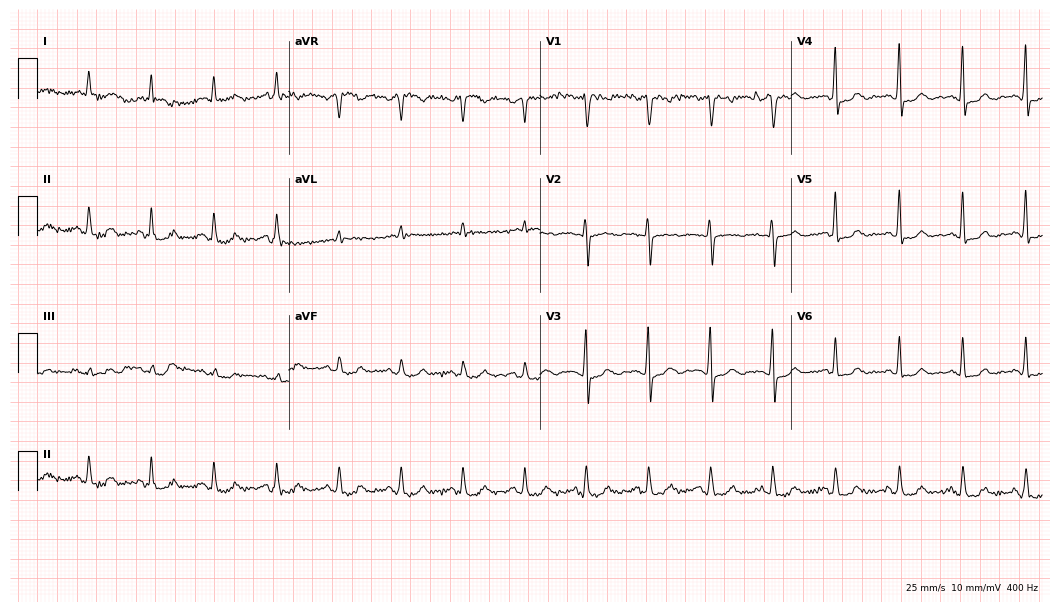
Electrocardiogram (10.2-second recording at 400 Hz), a woman, 75 years old. Of the six screened findings (first-degree AV block, right bundle branch block, left bundle branch block, sinus bradycardia, atrial fibrillation, sinus tachycardia), none is recorded.